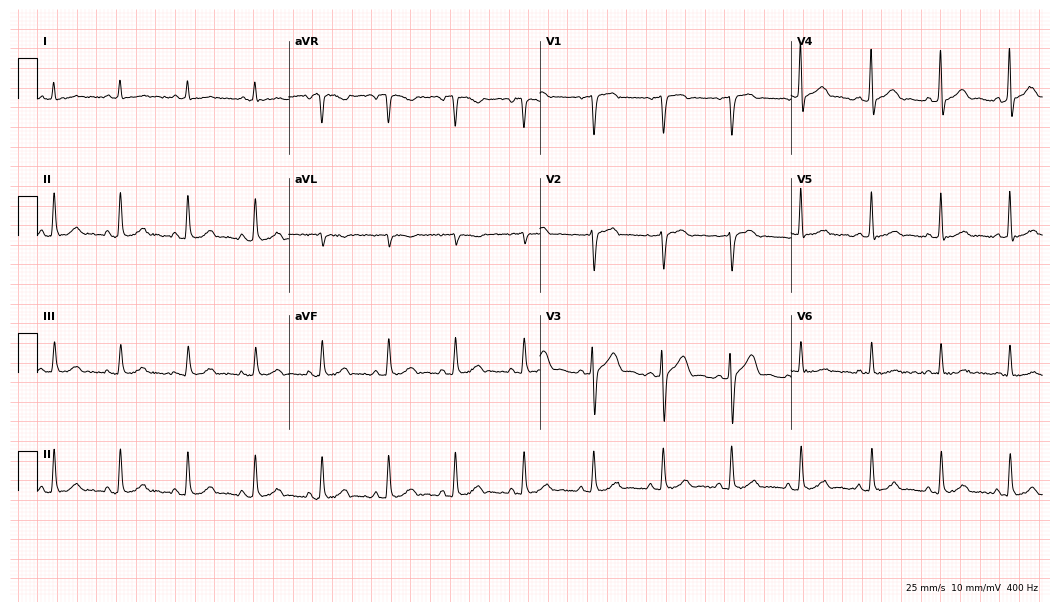
Resting 12-lead electrocardiogram (10.2-second recording at 400 Hz). Patient: a 58-year-old male. None of these six findings is recorded: first-degree AV block, right bundle branch block, left bundle branch block, sinus bradycardia, atrial fibrillation, sinus tachycardia. Other findings, if any, are not listed.